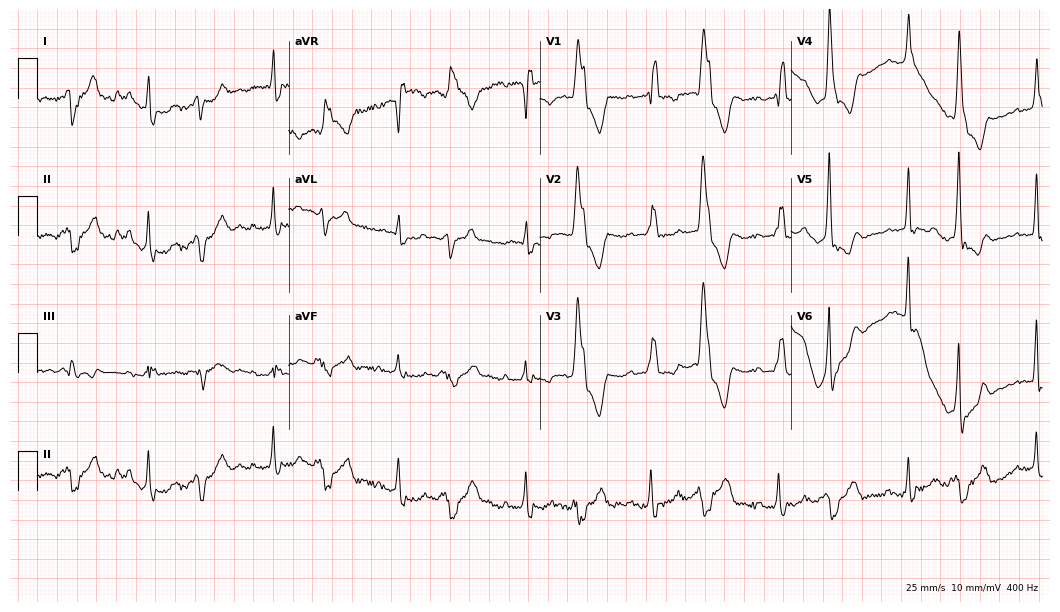
Resting 12-lead electrocardiogram (10.2-second recording at 400 Hz). Patient: a 62-year-old female. None of these six findings is recorded: first-degree AV block, right bundle branch block, left bundle branch block, sinus bradycardia, atrial fibrillation, sinus tachycardia.